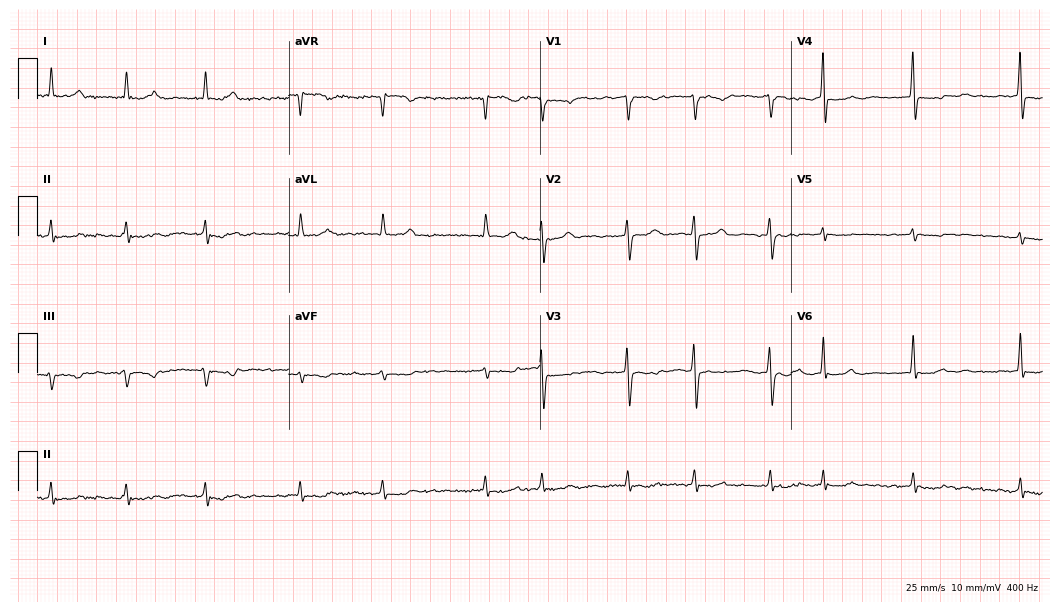
Resting 12-lead electrocardiogram (10.2-second recording at 400 Hz). Patient: an 80-year-old female. The tracing shows atrial fibrillation.